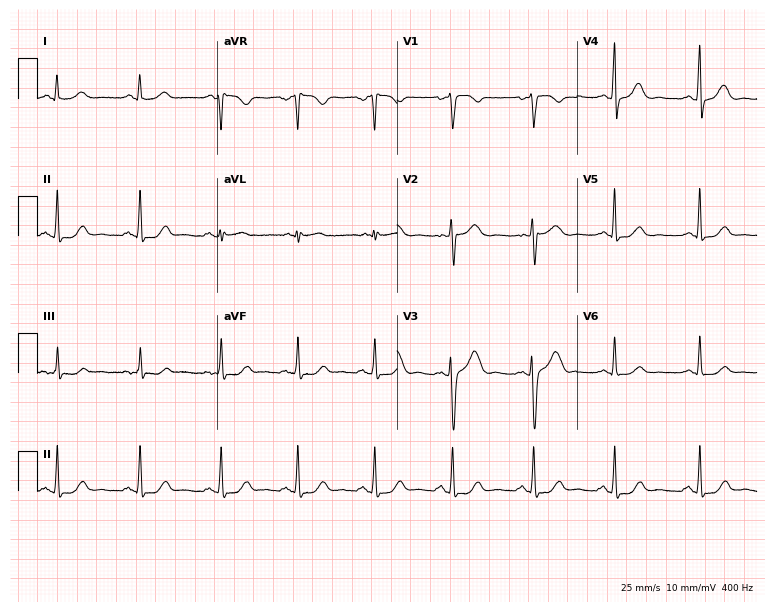
12-lead ECG from a female patient, 32 years old. Screened for six findings — first-degree AV block, right bundle branch block (RBBB), left bundle branch block (LBBB), sinus bradycardia, atrial fibrillation (AF), sinus tachycardia — none is recorded.